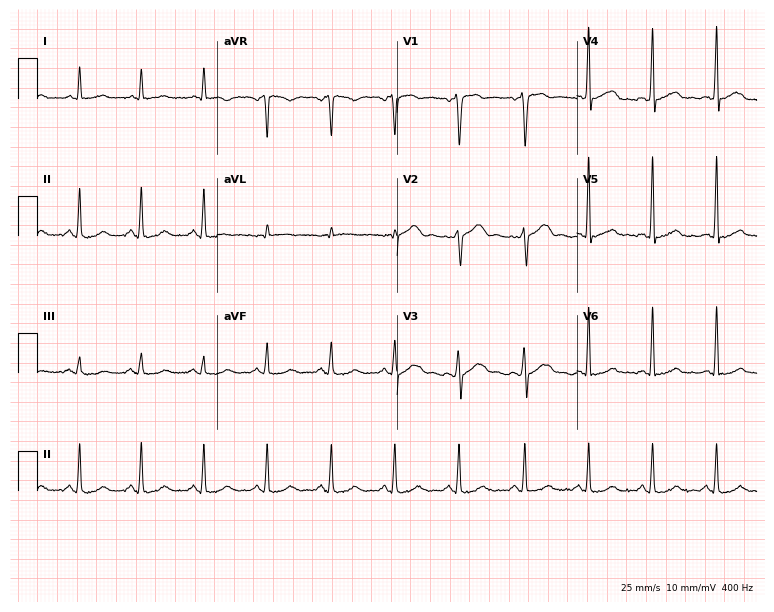
Electrocardiogram, a male, 55 years old. Of the six screened findings (first-degree AV block, right bundle branch block, left bundle branch block, sinus bradycardia, atrial fibrillation, sinus tachycardia), none is recorded. Findings outside these six are not listed.